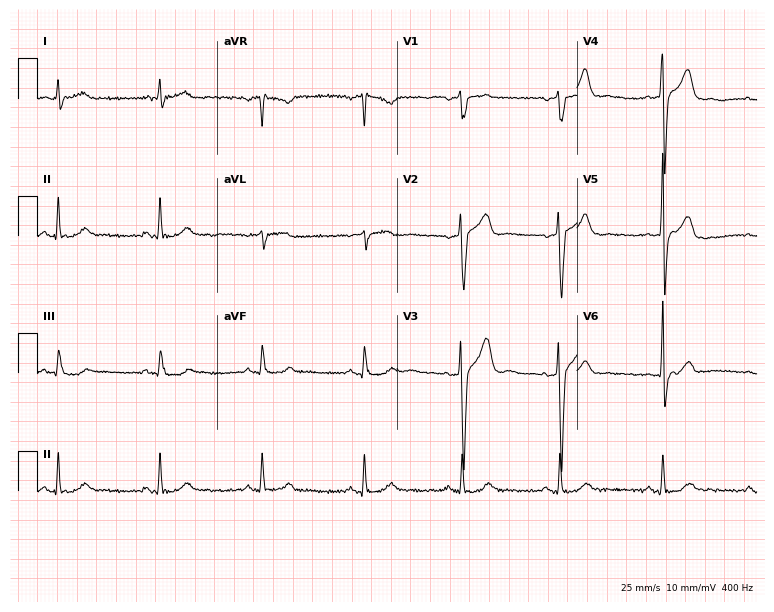
Standard 12-lead ECG recorded from a male, 53 years old. Read as a normal ECG.